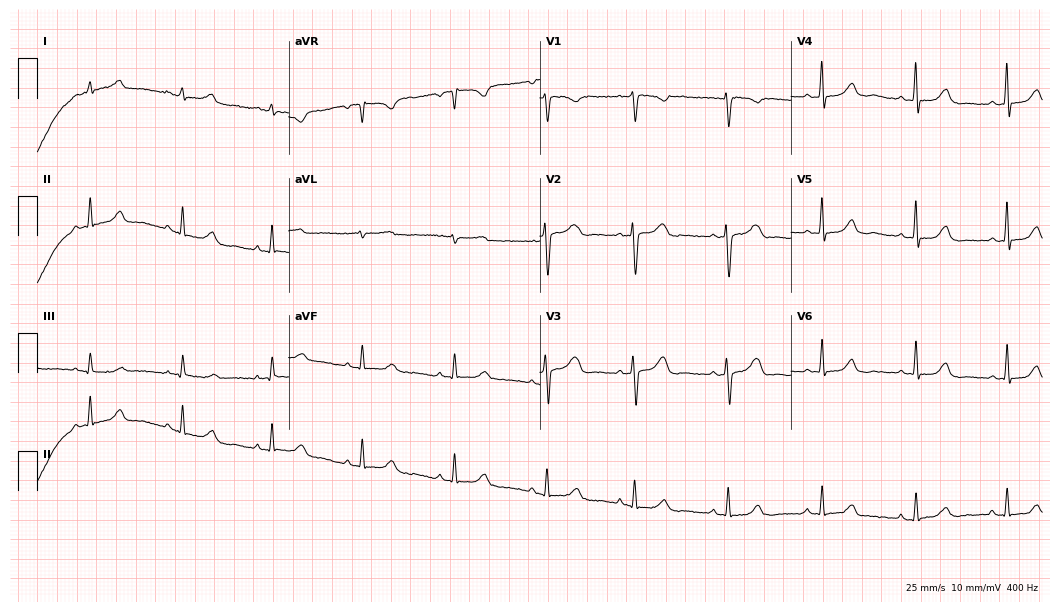
Resting 12-lead electrocardiogram (10.2-second recording at 400 Hz). Patient: a woman, 51 years old. Read as a normal ECG.